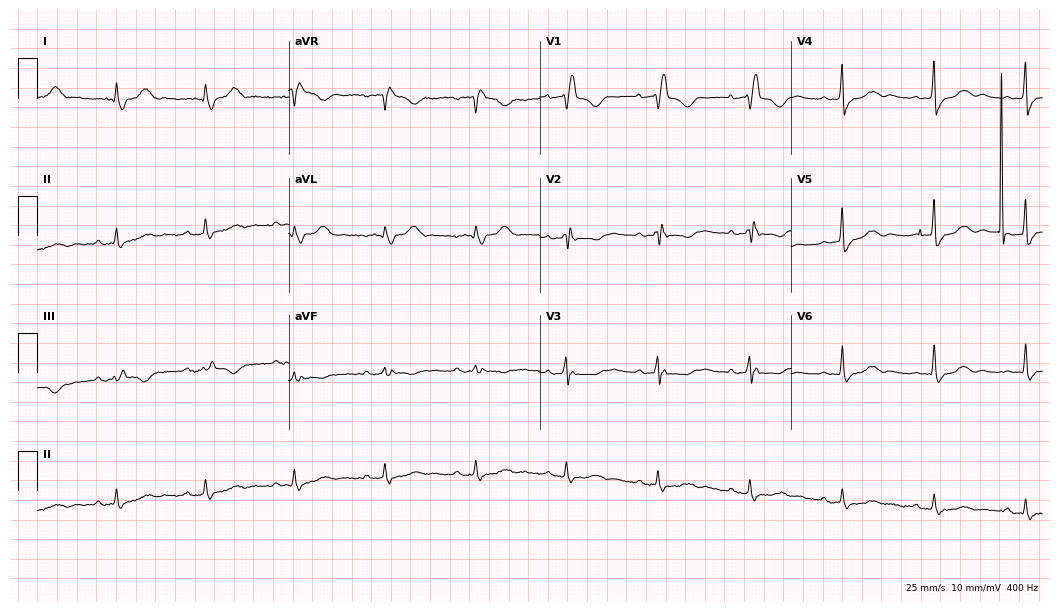
12-lead ECG from a 79-year-old female. Findings include right bundle branch block.